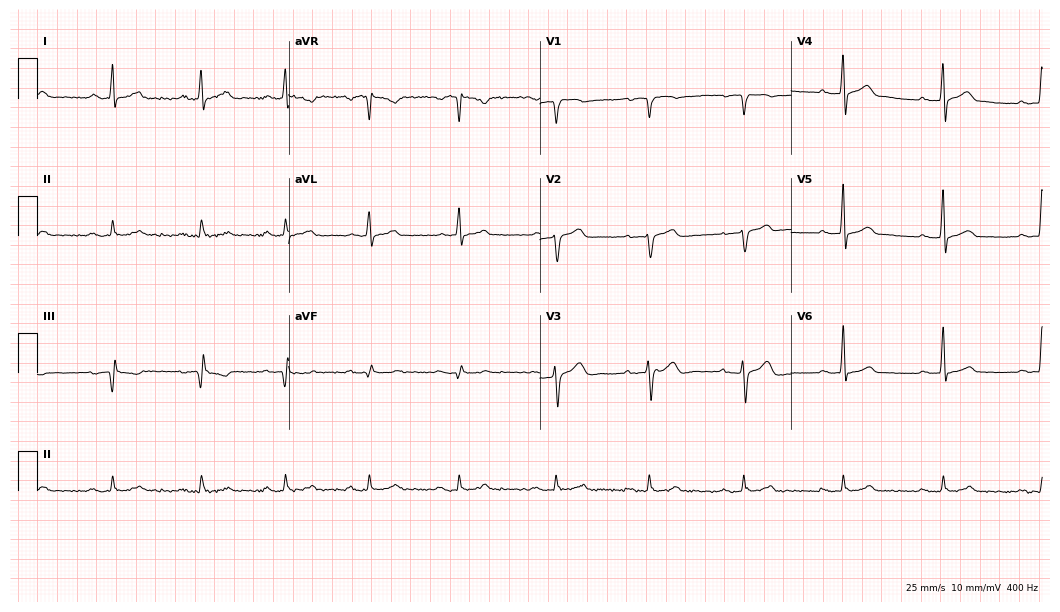
12-lead ECG (10.2-second recording at 400 Hz) from a 44-year-old woman. Screened for six findings — first-degree AV block, right bundle branch block, left bundle branch block, sinus bradycardia, atrial fibrillation, sinus tachycardia — none is recorded. Only these six findings were labelled.